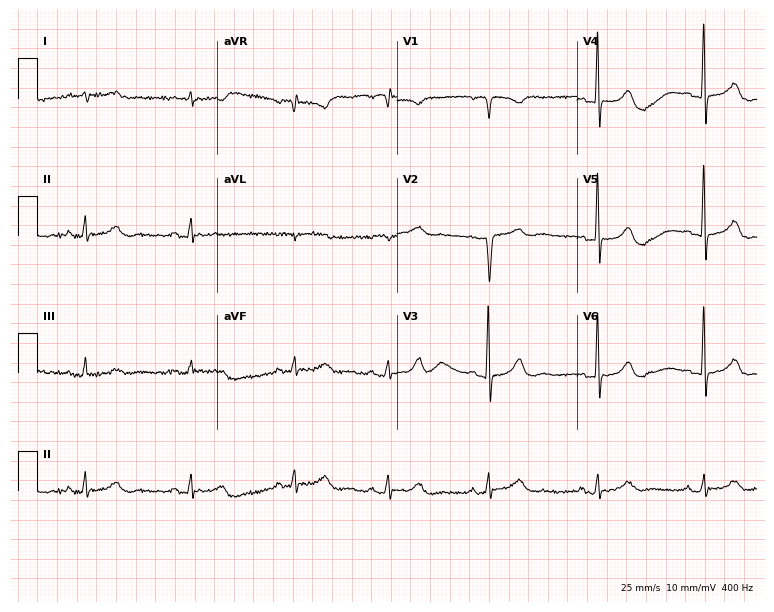
12-lead ECG from a woman, 73 years old (7.3-second recording at 400 Hz). No first-degree AV block, right bundle branch block, left bundle branch block, sinus bradycardia, atrial fibrillation or sinus tachycardia recorded for this tracing. Findings outside these six are not listed.